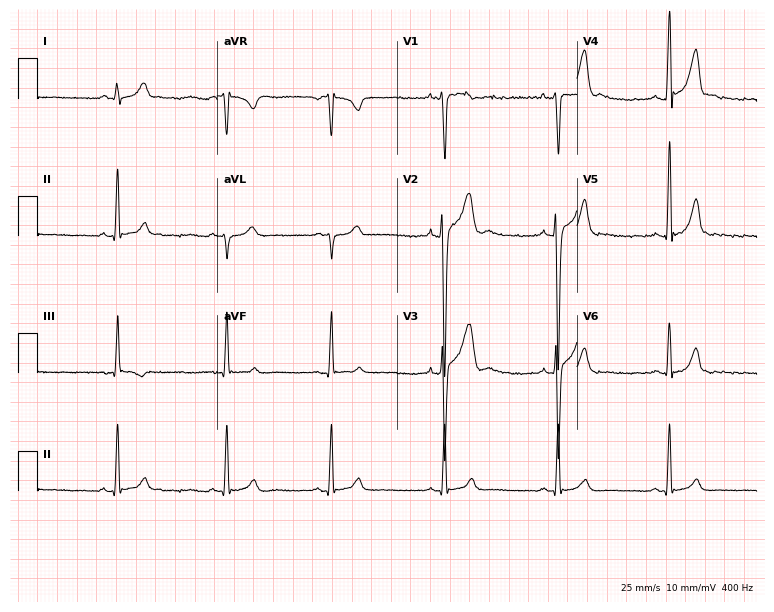
12-lead ECG (7.3-second recording at 400 Hz) from a male, 25 years old. Labelled as a normal ECG.